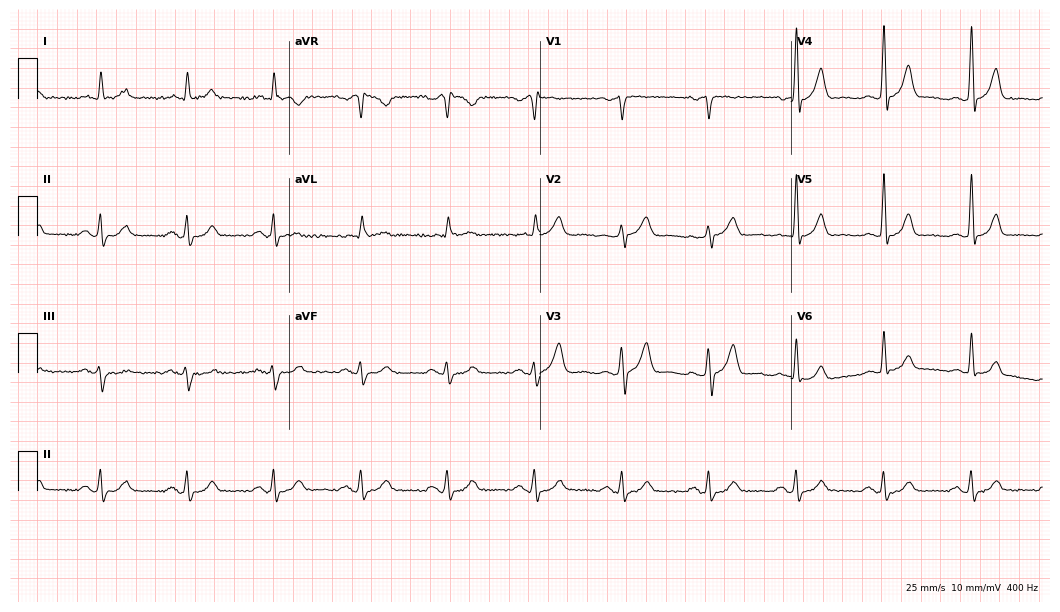
Standard 12-lead ECG recorded from an 83-year-old man. None of these six findings is recorded: first-degree AV block, right bundle branch block (RBBB), left bundle branch block (LBBB), sinus bradycardia, atrial fibrillation (AF), sinus tachycardia. Findings outside these six are not listed.